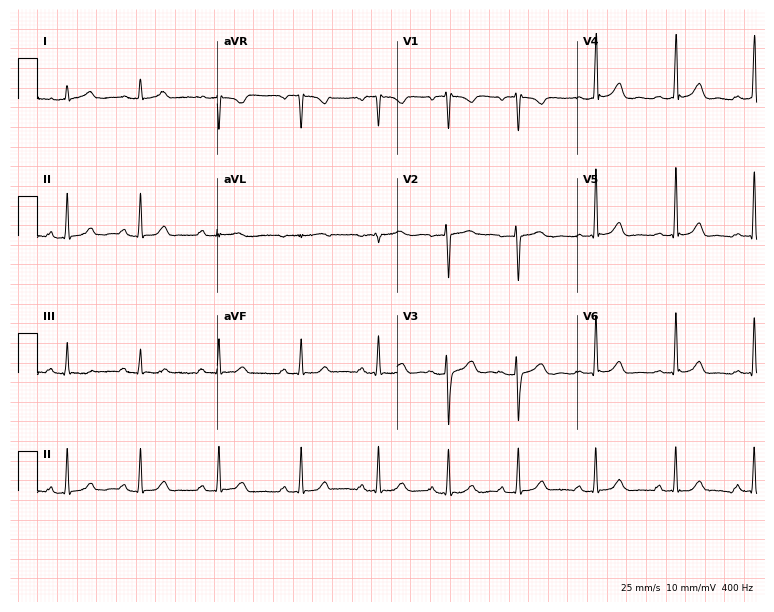
Electrocardiogram, a female, 28 years old. Overall reading on record: normal ECG.